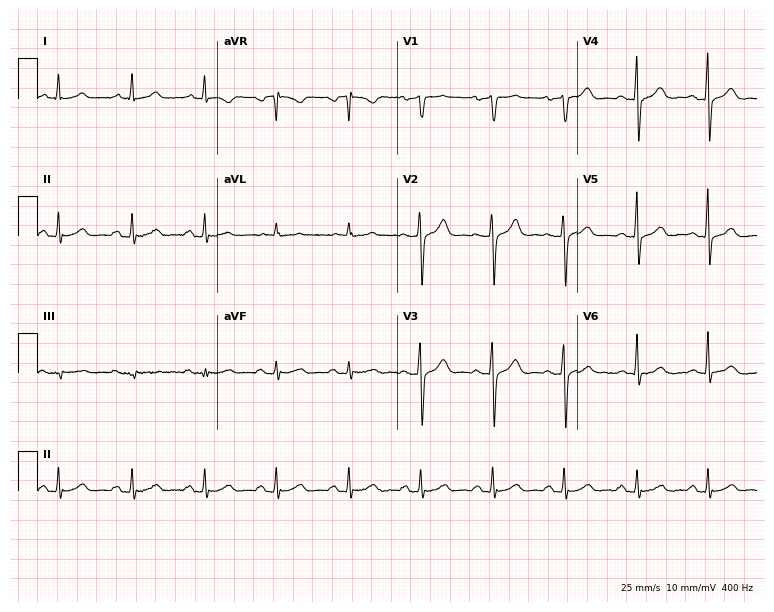
Standard 12-lead ECG recorded from a 51-year-old male (7.3-second recording at 400 Hz). Read as a normal ECG.